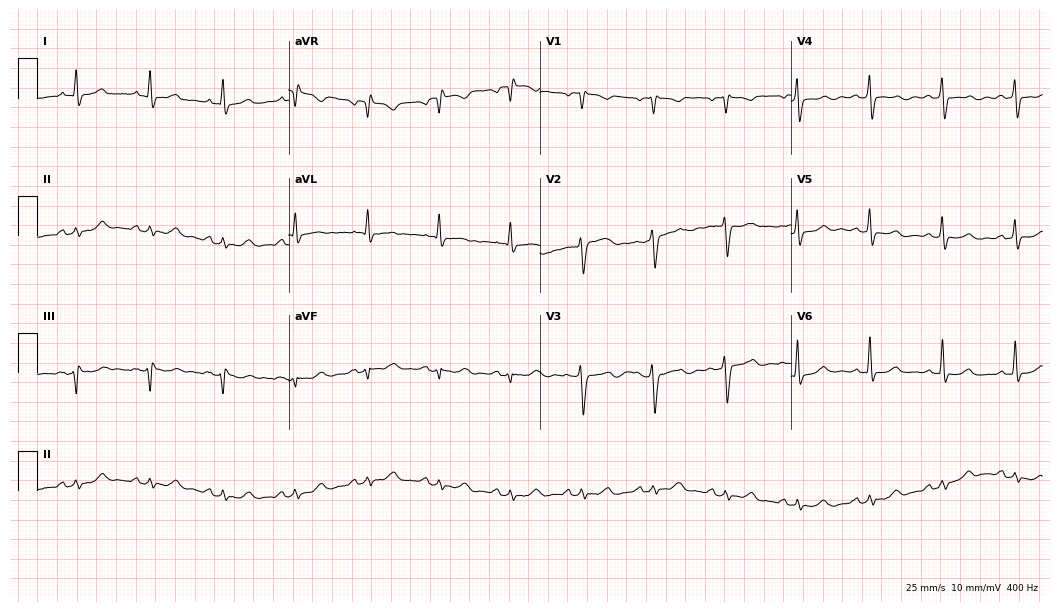
Standard 12-lead ECG recorded from a 56-year-old female. Read as a normal ECG.